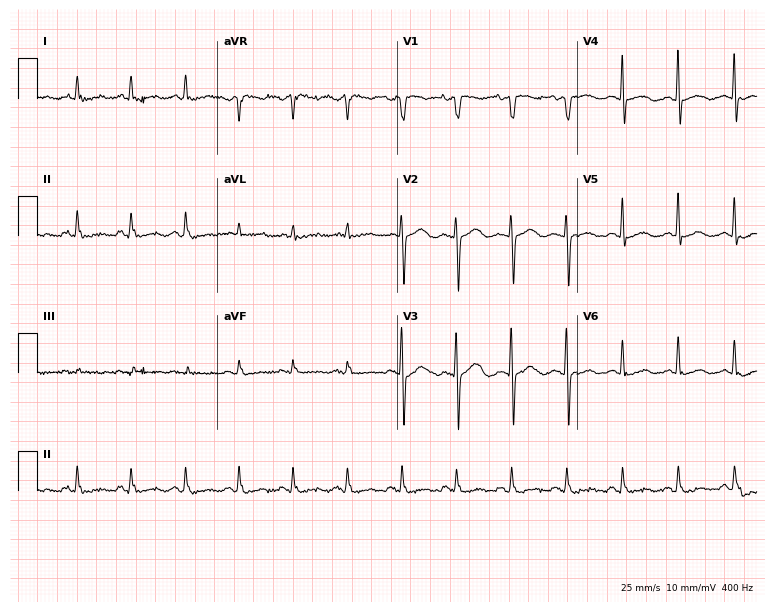
Electrocardiogram, a female patient, 39 years old. Interpretation includes sinus tachycardia (a sinus rate of 100 beats per minute or more).